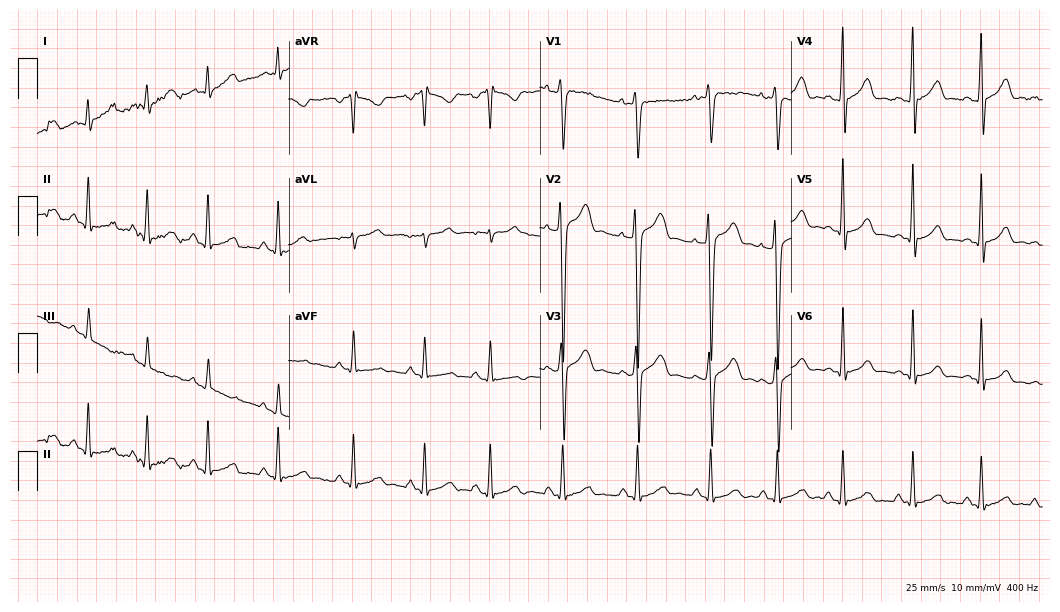
Standard 12-lead ECG recorded from a 17-year-old male patient (10.2-second recording at 400 Hz). None of these six findings is recorded: first-degree AV block, right bundle branch block (RBBB), left bundle branch block (LBBB), sinus bradycardia, atrial fibrillation (AF), sinus tachycardia. Other findings, if any, are not listed.